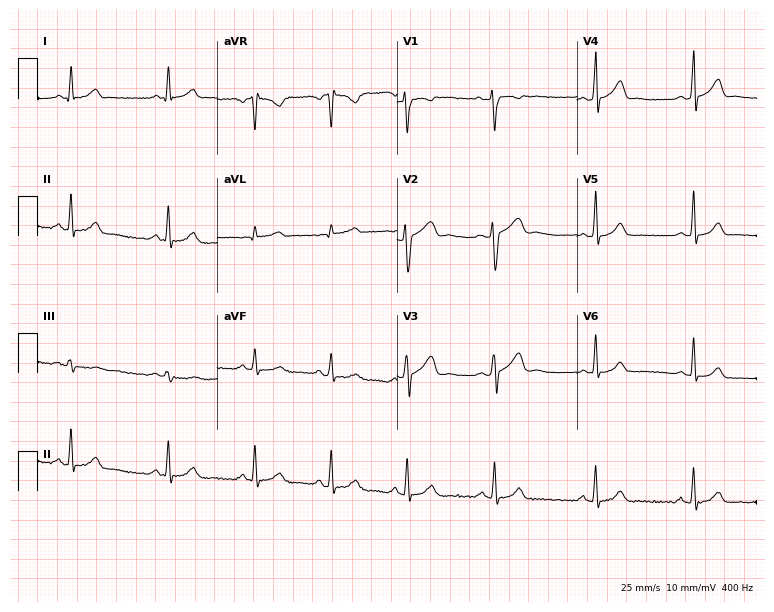
Standard 12-lead ECG recorded from a 28-year-old female (7.3-second recording at 400 Hz). None of these six findings is recorded: first-degree AV block, right bundle branch block, left bundle branch block, sinus bradycardia, atrial fibrillation, sinus tachycardia.